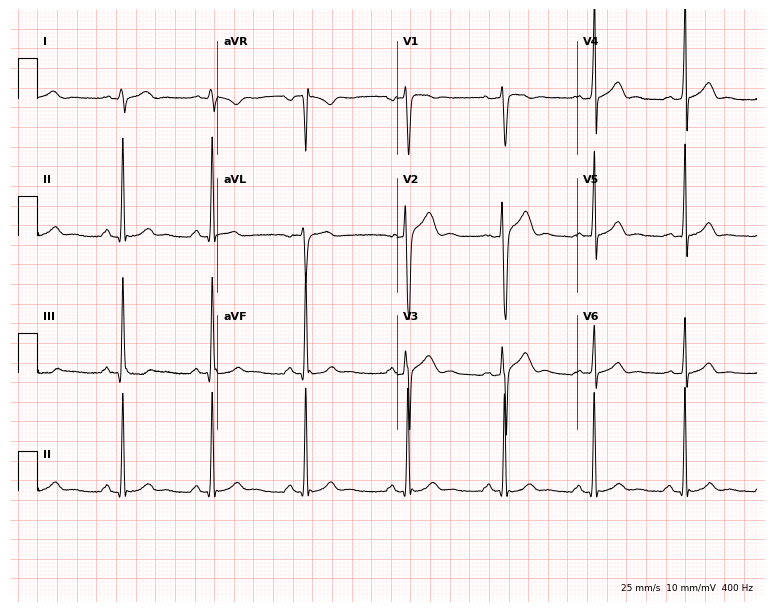
12-lead ECG from a man, 19 years old. Recorded interpretation: within normal limits.